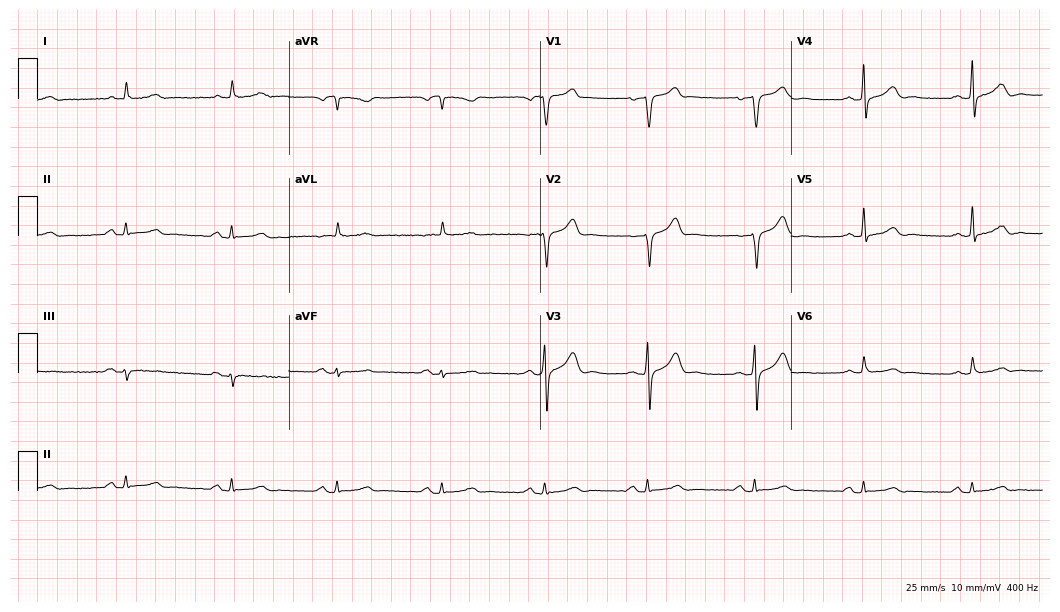
Electrocardiogram (10.2-second recording at 400 Hz), a 61-year-old man. Of the six screened findings (first-degree AV block, right bundle branch block, left bundle branch block, sinus bradycardia, atrial fibrillation, sinus tachycardia), none is recorded.